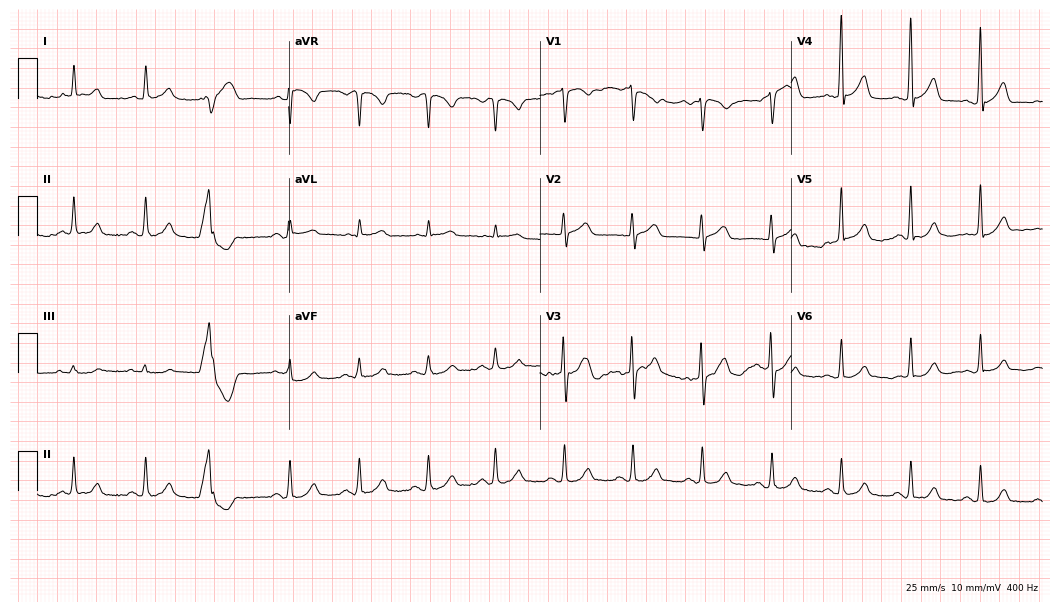
Resting 12-lead electrocardiogram. Patient: a male, 70 years old. None of these six findings is recorded: first-degree AV block, right bundle branch block, left bundle branch block, sinus bradycardia, atrial fibrillation, sinus tachycardia.